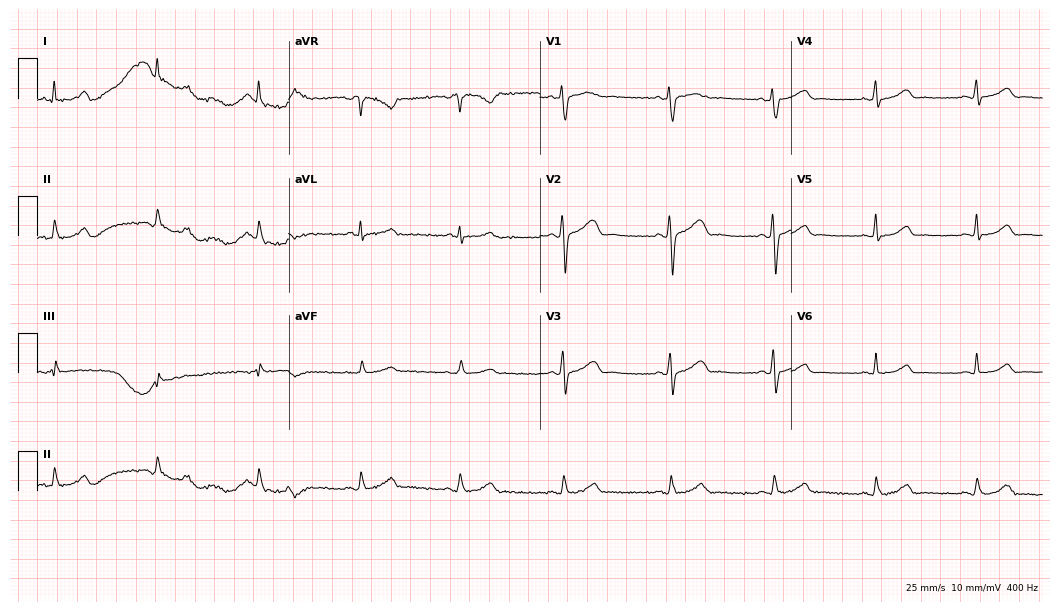
12-lead ECG from a 41-year-old woman. No first-degree AV block, right bundle branch block (RBBB), left bundle branch block (LBBB), sinus bradycardia, atrial fibrillation (AF) or sinus tachycardia recorded for this tracing.